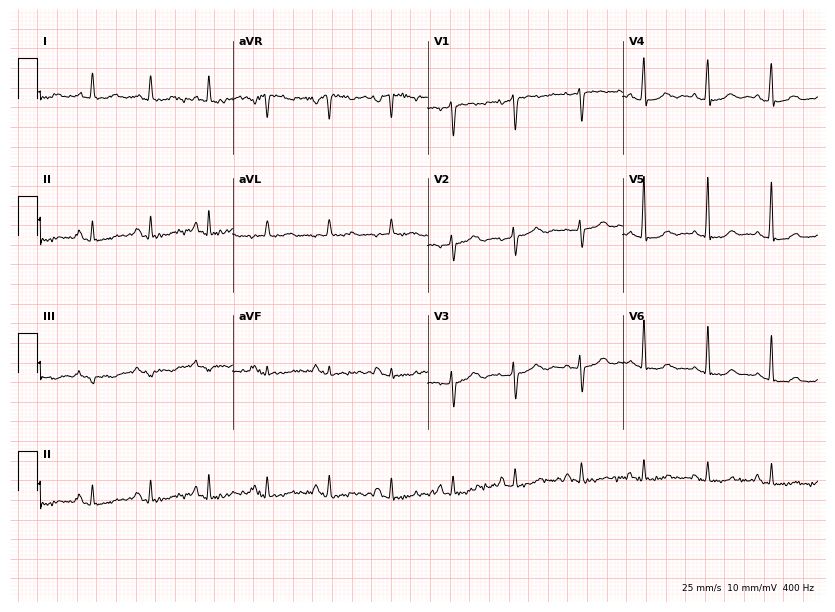
Resting 12-lead electrocardiogram. Patient: a 44-year-old female. Read as a normal ECG.